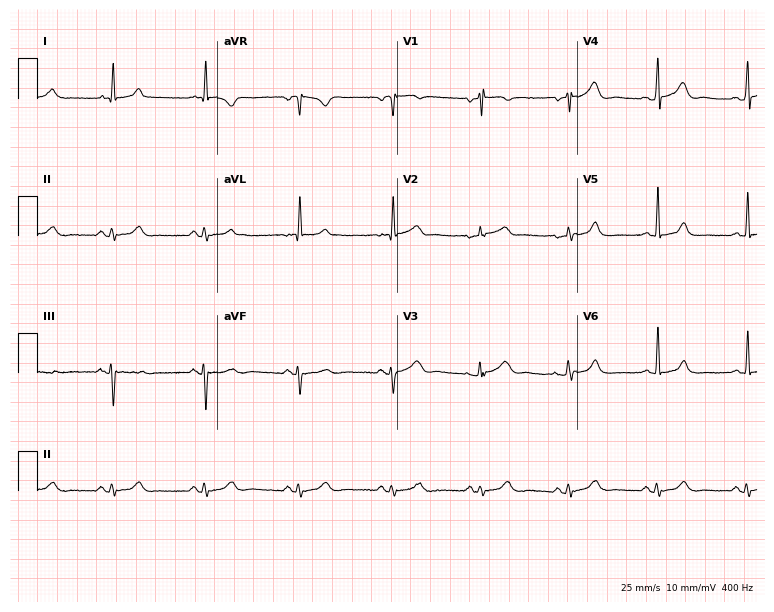
Electrocardiogram (7.3-second recording at 400 Hz), a female patient, 81 years old. Overall reading on record: normal ECG.